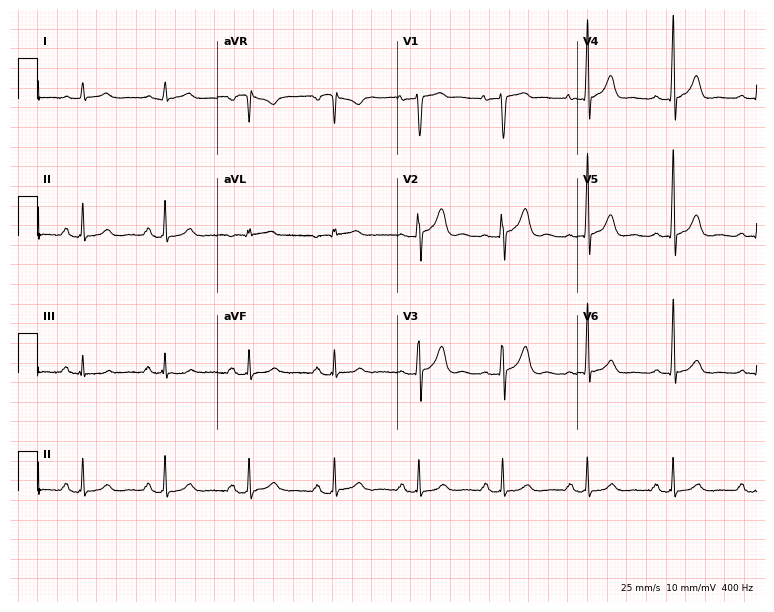
ECG (7.3-second recording at 400 Hz) — a man, 46 years old. Screened for six findings — first-degree AV block, right bundle branch block (RBBB), left bundle branch block (LBBB), sinus bradycardia, atrial fibrillation (AF), sinus tachycardia — none is recorded.